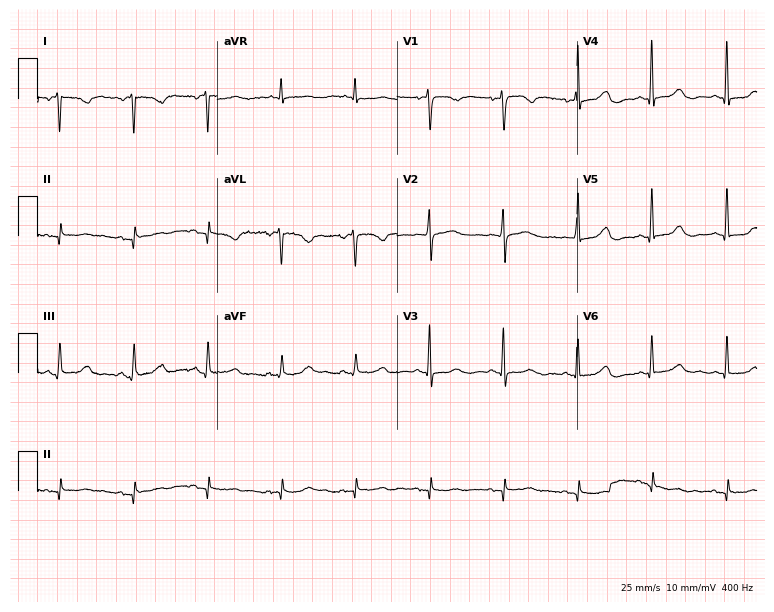
12-lead ECG from a 75-year-old woman. No first-degree AV block, right bundle branch block, left bundle branch block, sinus bradycardia, atrial fibrillation or sinus tachycardia recorded for this tracing.